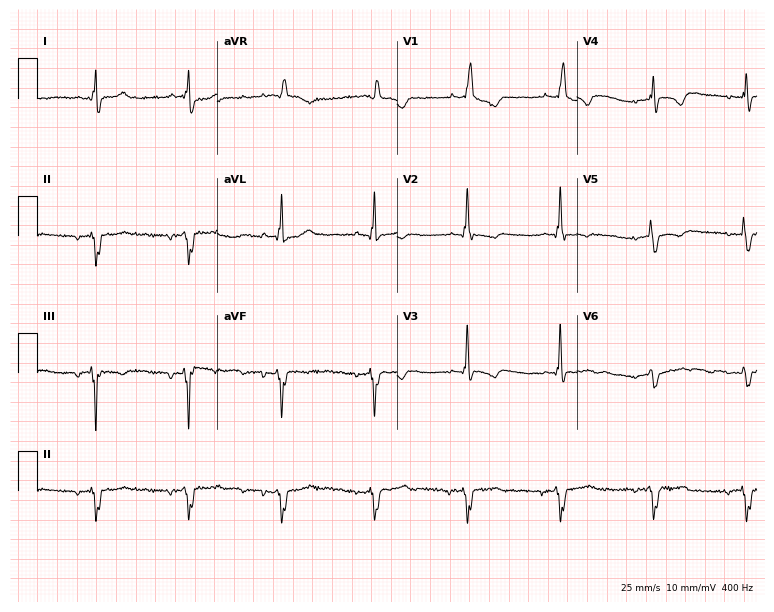
Standard 12-lead ECG recorded from a 38-year-old female. None of these six findings is recorded: first-degree AV block, right bundle branch block, left bundle branch block, sinus bradycardia, atrial fibrillation, sinus tachycardia. Other findings, if any, are not listed.